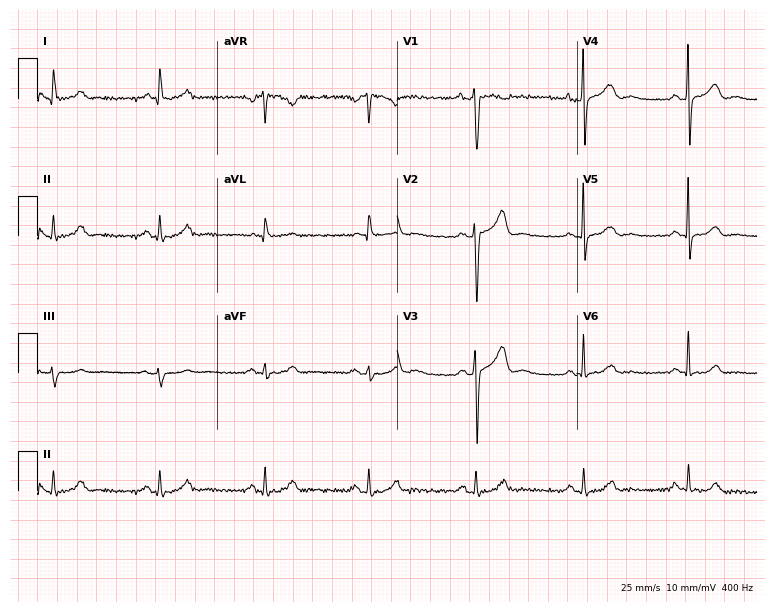
12-lead ECG from a male patient, 57 years old. No first-degree AV block, right bundle branch block, left bundle branch block, sinus bradycardia, atrial fibrillation or sinus tachycardia recorded for this tracing. Only these six findings were labelled.